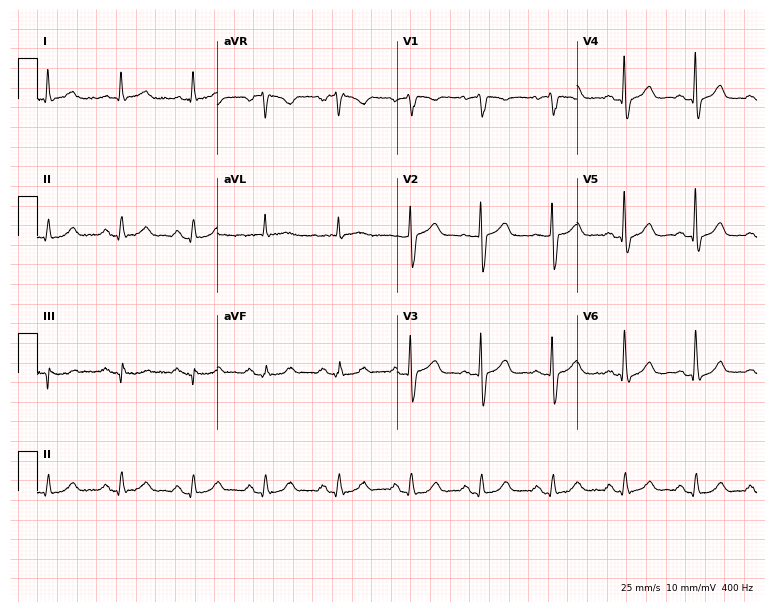
12-lead ECG from a male patient, 80 years old. Recorded interpretation: within normal limits.